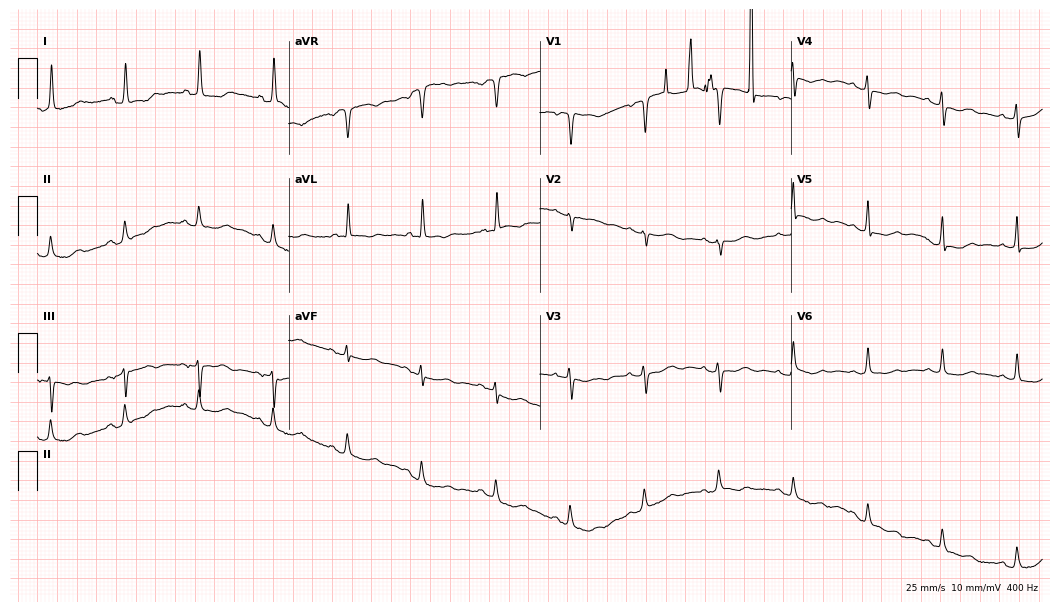
ECG (10.2-second recording at 400 Hz) — a woman, 83 years old. Screened for six findings — first-degree AV block, right bundle branch block (RBBB), left bundle branch block (LBBB), sinus bradycardia, atrial fibrillation (AF), sinus tachycardia — none is recorded. Only these six findings were labelled.